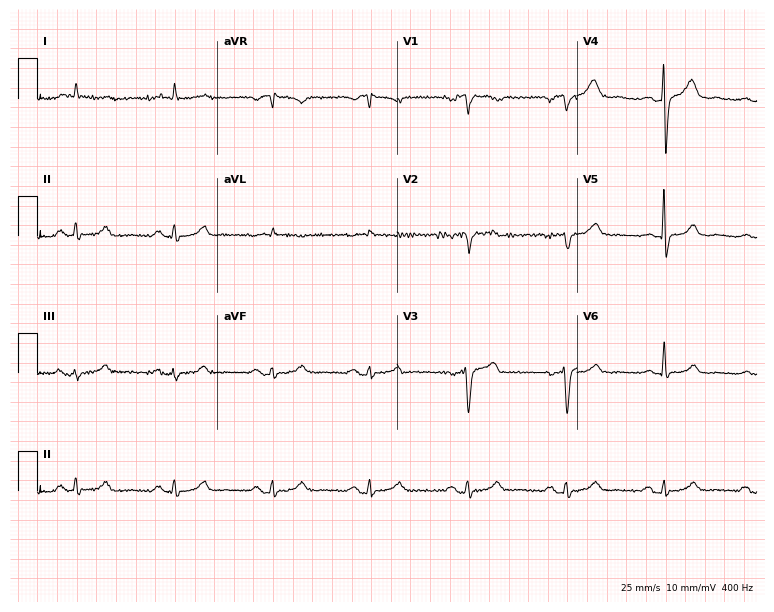
Resting 12-lead electrocardiogram (7.3-second recording at 400 Hz). Patient: a 72-year-old man. None of these six findings is recorded: first-degree AV block, right bundle branch block, left bundle branch block, sinus bradycardia, atrial fibrillation, sinus tachycardia. Findings outside these six are not listed.